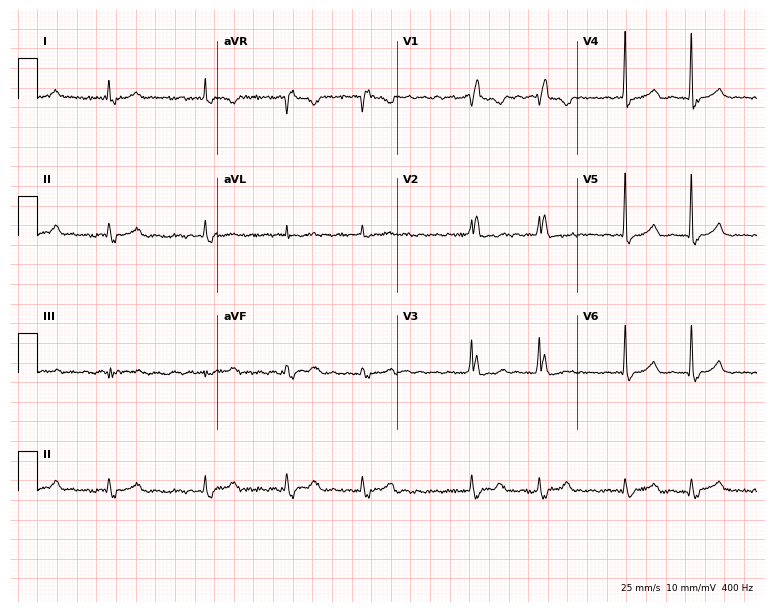
12-lead ECG from a woman, 74 years old. Findings include right bundle branch block, atrial fibrillation.